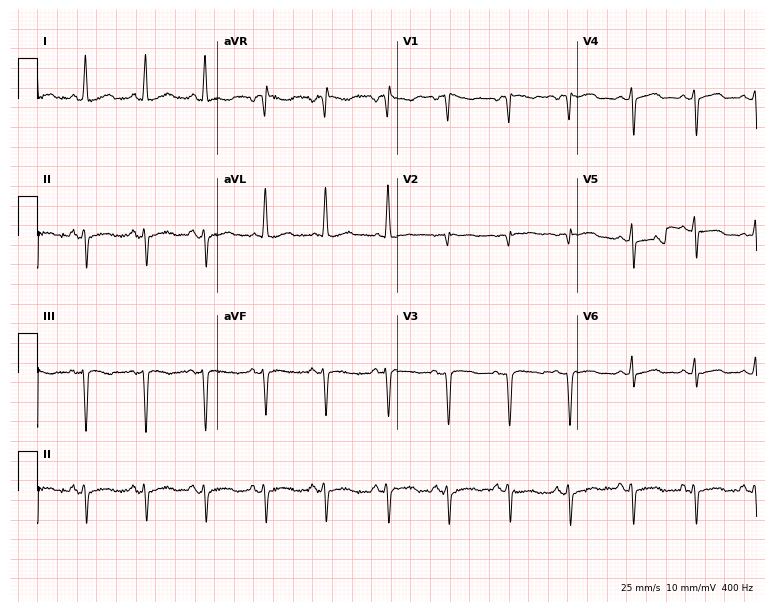
Resting 12-lead electrocardiogram. Patient: a female, 33 years old. None of these six findings is recorded: first-degree AV block, right bundle branch block (RBBB), left bundle branch block (LBBB), sinus bradycardia, atrial fibrillation (AF), sinus tachycardia.